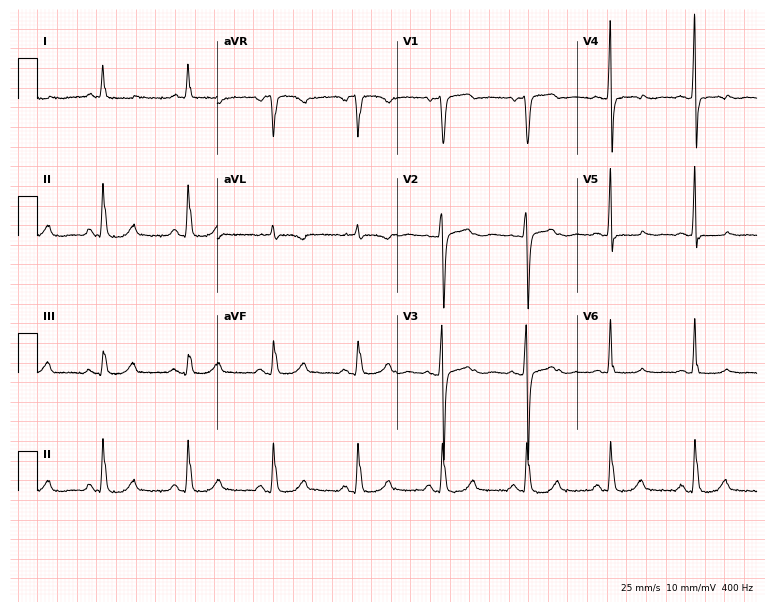
Resting 12-lead electrocardiogram (7.3-second recording at 400 Hz). Patient: a 70-year-old woman. None of these six findings is recorded: first-degree AV block, right bundle branch block, left bundle branch block, sinus bradycardia, atrial fibrillation, sinus tachycardia. Findings outside these six are not listed.